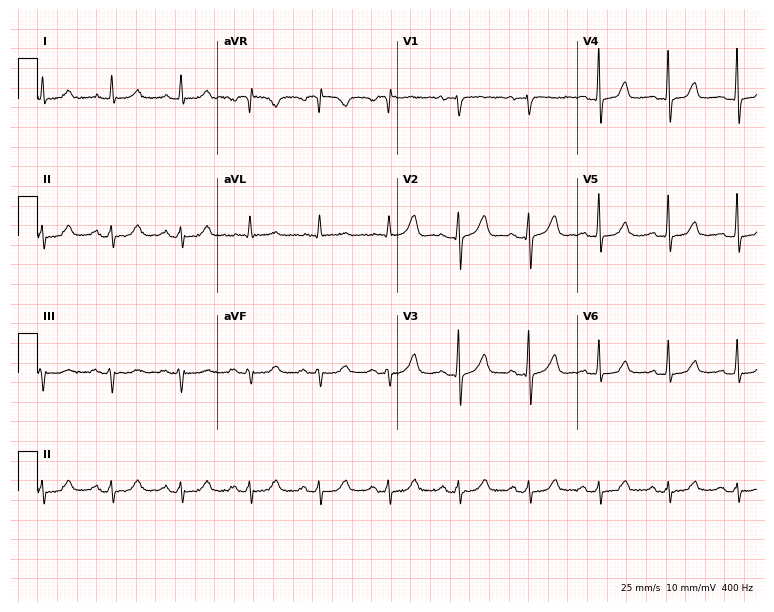
ECG (7.3-second recording at 400 Hz) — a male patient, 78 years old. Screened for six findings — first-degree AV block, right bundle branch block (RBBB), left bundle branch block (LBBB), sinus bradycardia, atrial fibrillation (AF), sinus tachycardia — none is recorded.